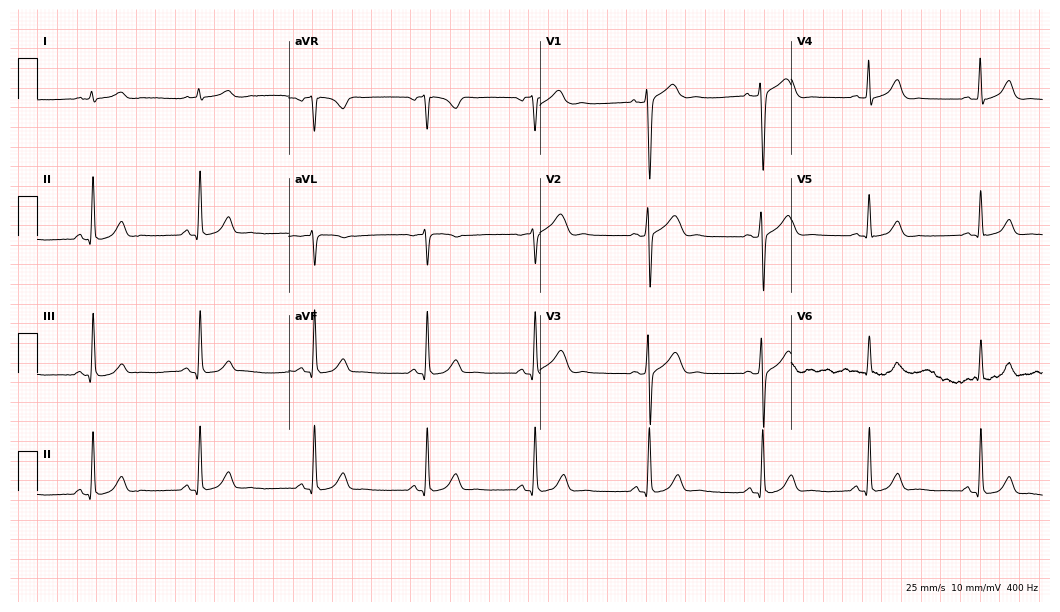
12-lead ECG (10.2-second recording at 400 Hz) from a 37-year-old man. Screened for six findings — first-degree AV block, right bundle branch block, left bundle branch block, sinus bradycardia, atrial fibrillation, sinus tachycardia — none is recorded. Other findings, if any, are not listed.